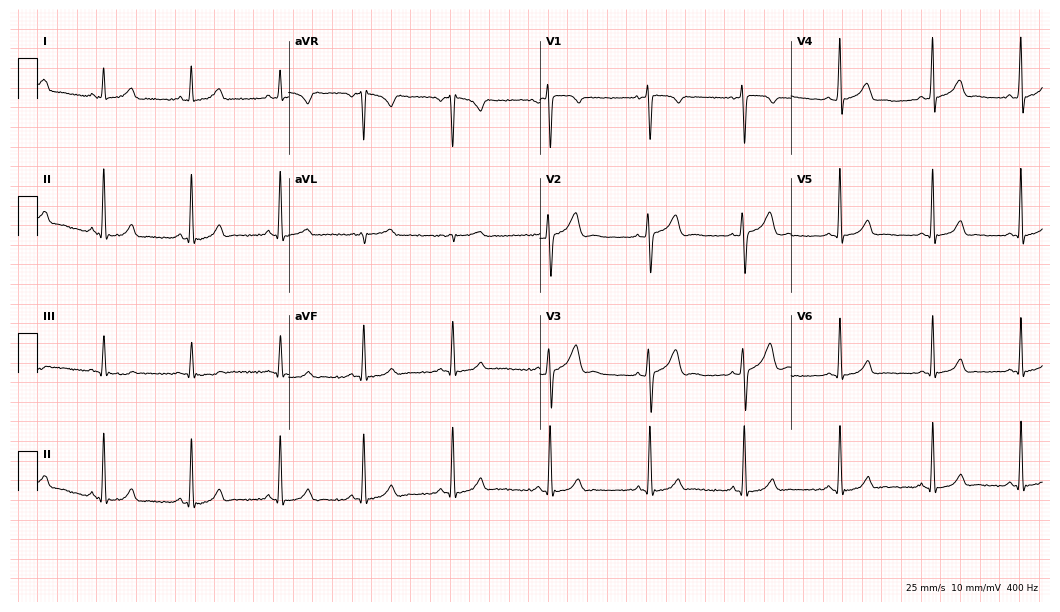
Resting 12-lead electrocardiogram (10.2-second recording at 400 Hz). Patient: a female, 26 years old. Read as a normal ECG.